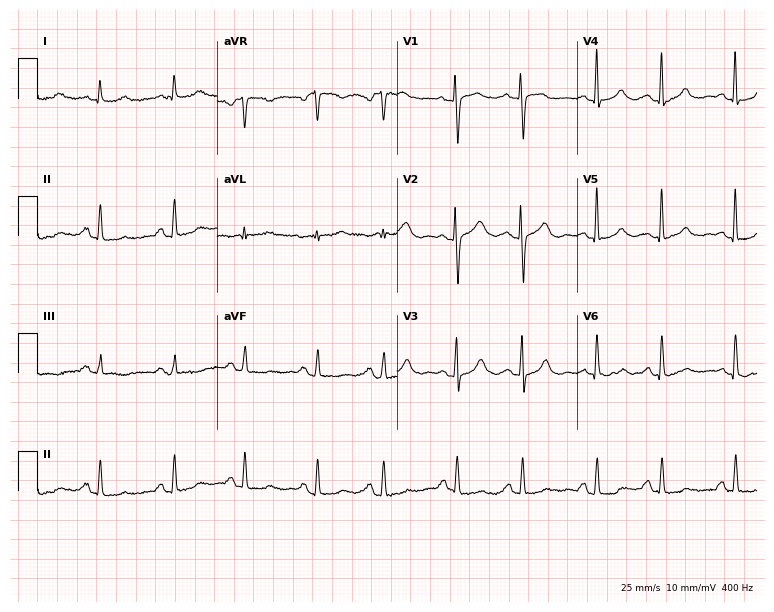
Electrocardiogram (7.3-second recording at 400 Hz), a female, 57 years old. Of the six screened findings (first-degree AV block, right bundle branch block, left bundle branch block, sinus bradycardia, atrial fibrillation, sinus tachycardia), none is recorded.